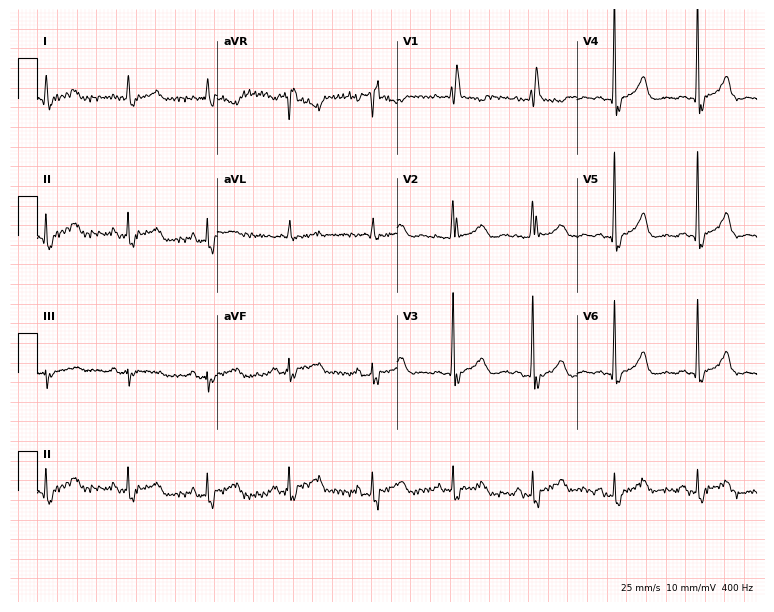
Electrocardiogram, a female, 63 years old. Of the six screened findings (first-degree AV block, right bundle branch block (RBBB), left bundle branch block (LBBB), sinus bradycardia, atrial fibrillation (AF), sinus tachycardia), none is recorded.